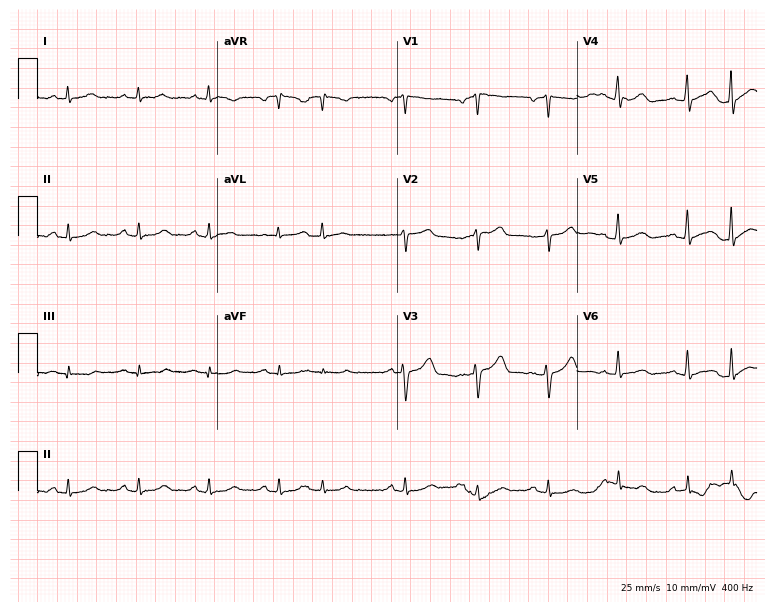
Electrocardiogram (7.3-second recording at 400 Hz), a 58-year-old male. Of the six screened findings (first-degree AV block, right bundle branch block (RBBB), left bundle branch block (LBBB), sinus bradycardia, atrial fibrillation (AF), sinus tachycardia), none is recorded. Findings outside these six are not listed.